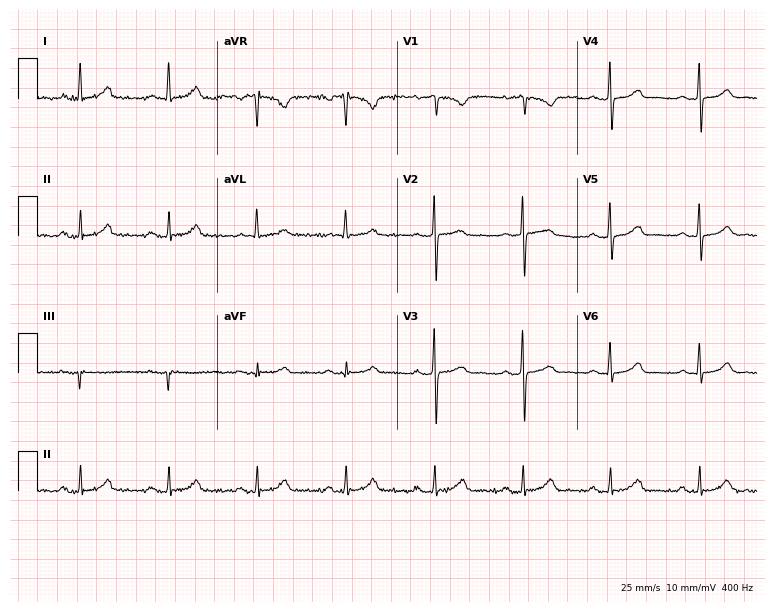
12-lead ECG from a female patient, 75 years old (7.3-second recording at 400 Hz). No first-degree AV block, right bundle branch block, left bundle branch block, sinus bradycardia, atrial fibrillation or sinus tachycardia recorded for this tracing. Only these six findings were labelled.